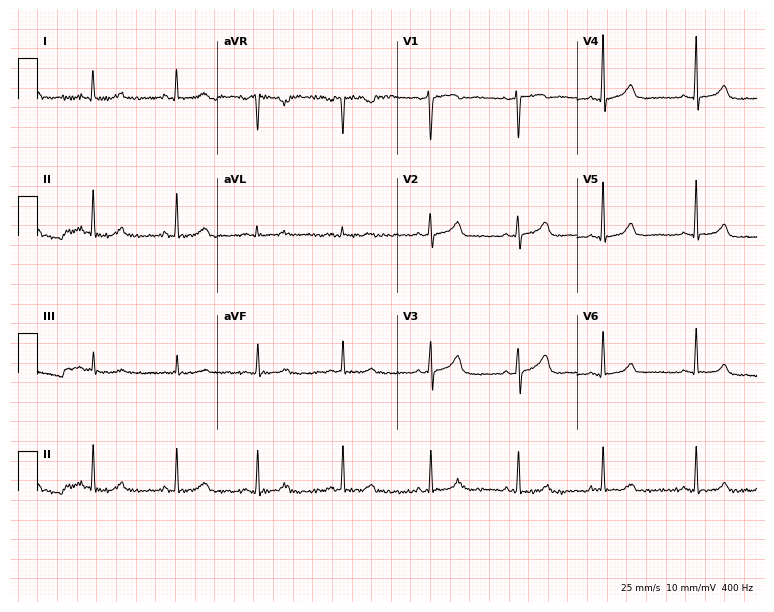
ECG — a female patient, 35 years old. Labelled as a normal ECG.